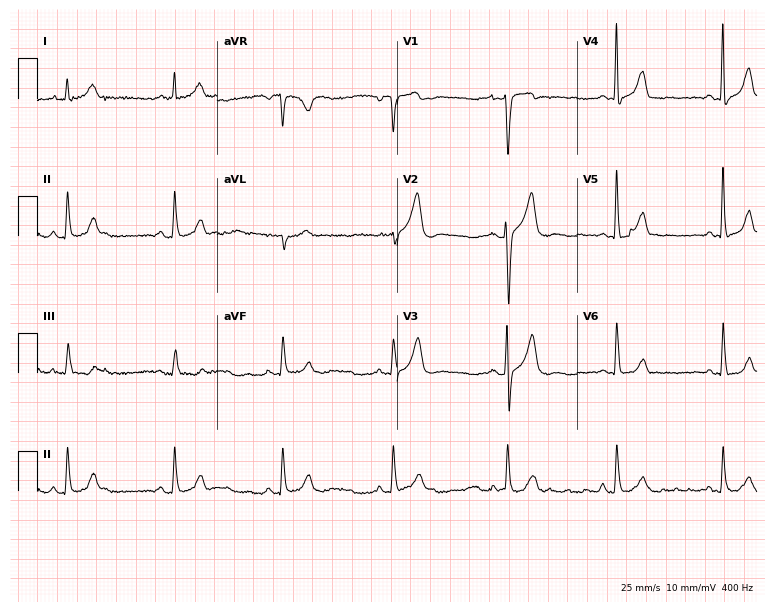
Electrocardiogram, a male patient, 40 years old. Overall reading on record: normal ECG.